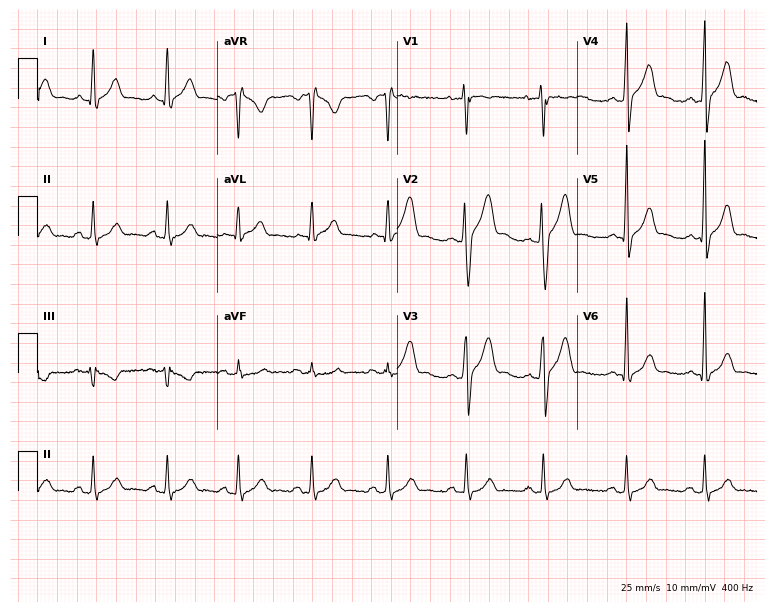
Resting 12-lead electrocardiogram (7.3-second recording at 400 Hz). Patient: a 35-year-old man. Read as a normal ECG.